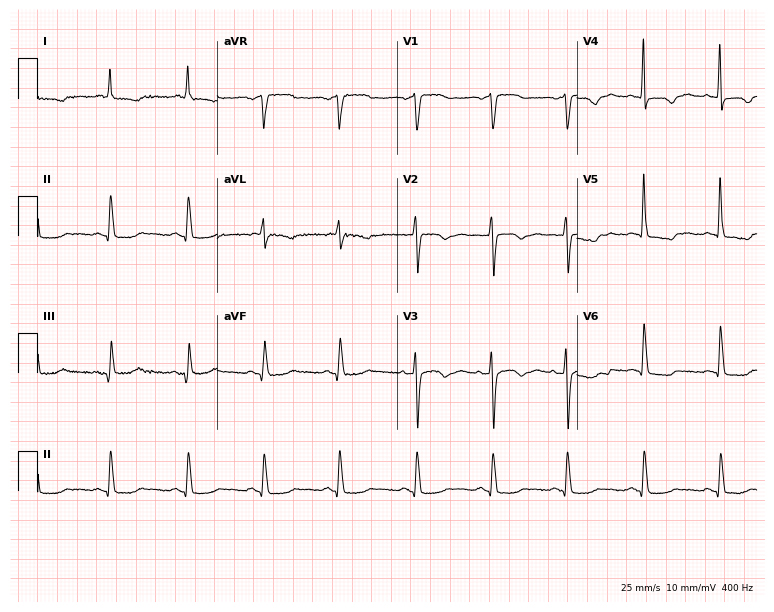
ECG — a female patient, 78 years old. Screened for six findings — first-degree AV block, right bundle branch block, left bundle branch block, sinus bradycardia, atrial fibrillation, sinus tachycardia — none is recorded.